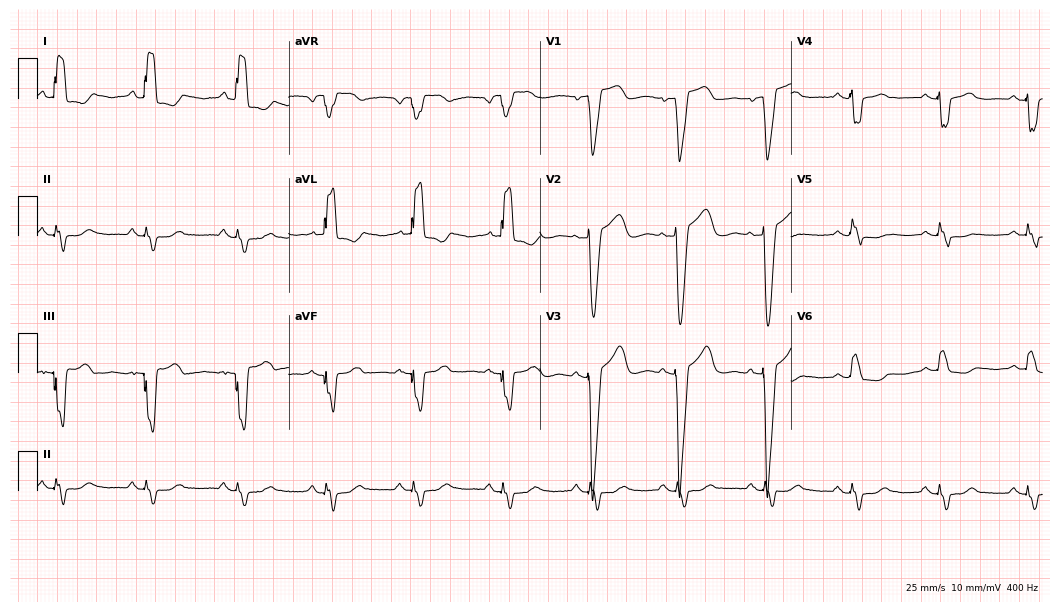
12-lead ECG (10.2-second recording at 400 Hz) from an 80-year-old woman. Screened for six findings — first-degree AV block, right bundle branch block, left bundle branch block, sinus bradycardia, atrial fibrillation, sinus tachycardia — none is recorded.